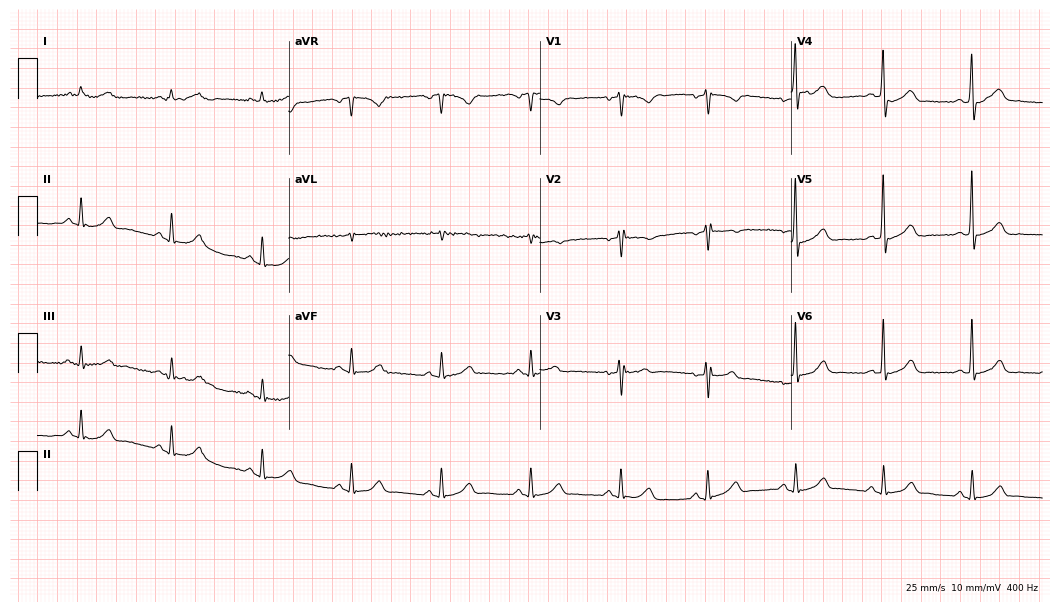
Electrocardiogram, a female patient, 36 years old. Of the six screened findings (first-degree AV block, right bundle branch block (RBBB), left bundle branch block (LBBB), sinus bradycardia, atrial fibrillation (AF), sinus tachycardia), none is recorded.